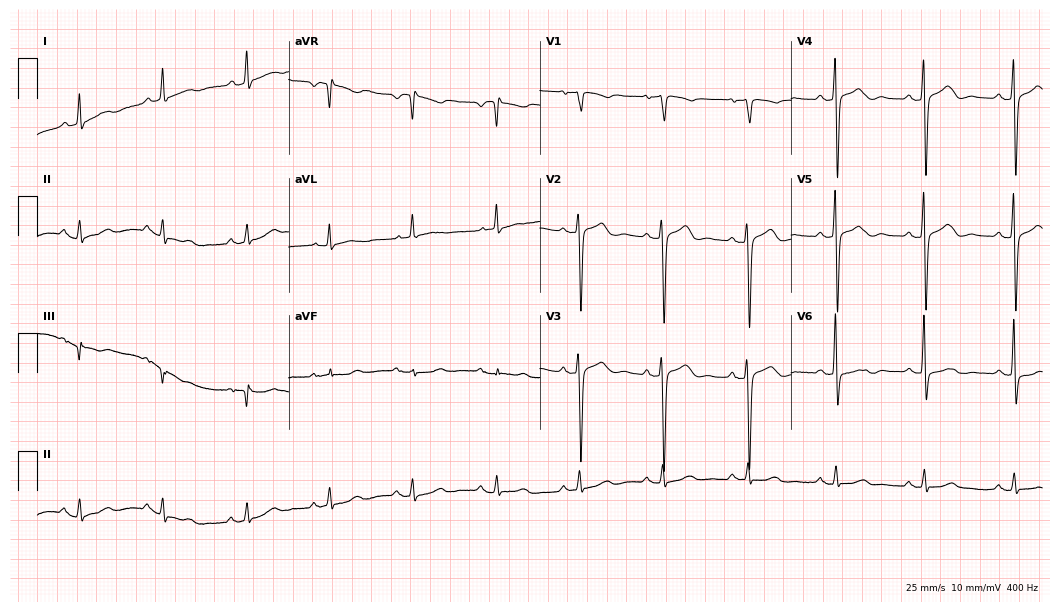
Resting 12-lead electrocardiogram. Patient: a woman, 76 years old. None of these six findings is recorded: first-degree AV block, right bundle branch block (RBBB), left bundle branch block (LBBB), sinus bradycardia, atrial fibrillation (AF), sinus tachycardia.